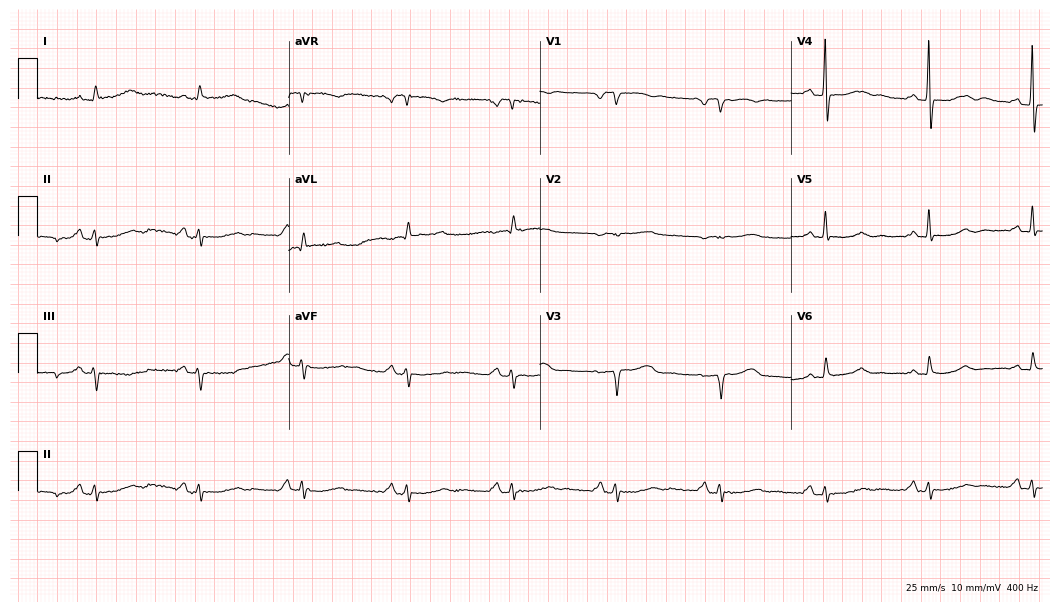
Standard 12-lead ECG recorded from a male, 83 years old. None of these six findings is recorded: first-degree AV block, right bundle branch block, left bundle branch block, sinus bradycardia, atrial fibrillation, sinus tachycardia.